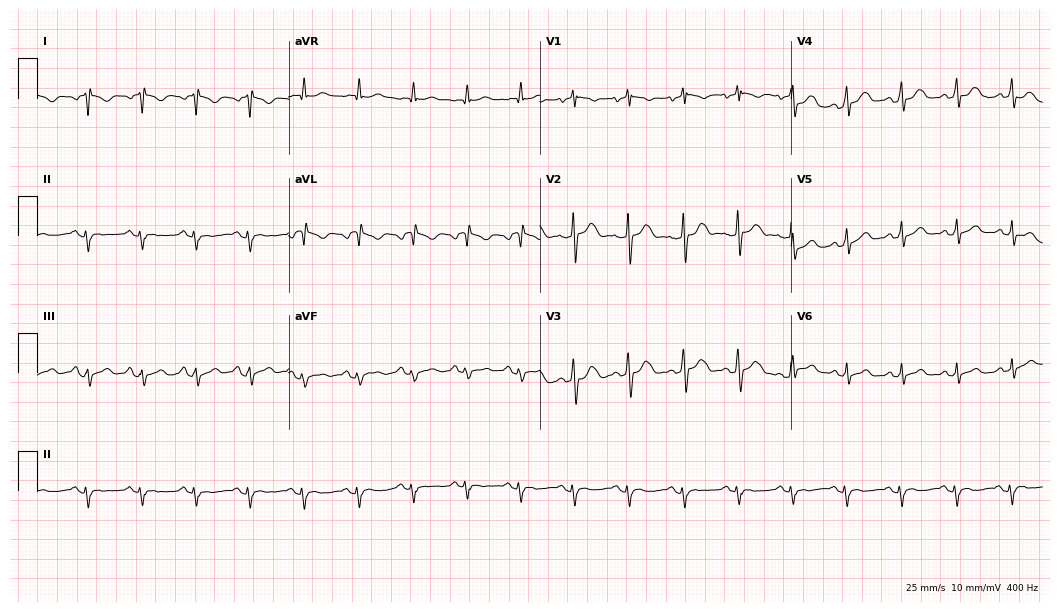
Electrocardiogram (10.2-second recording at 400 Hz), a 26-year-old man. Of the six screened findings (first-degree AV block, right bundle branch block, left bundle branch block, sinus bradycardia, atrial fibrillation, sinus tachycardia), none is recorded.